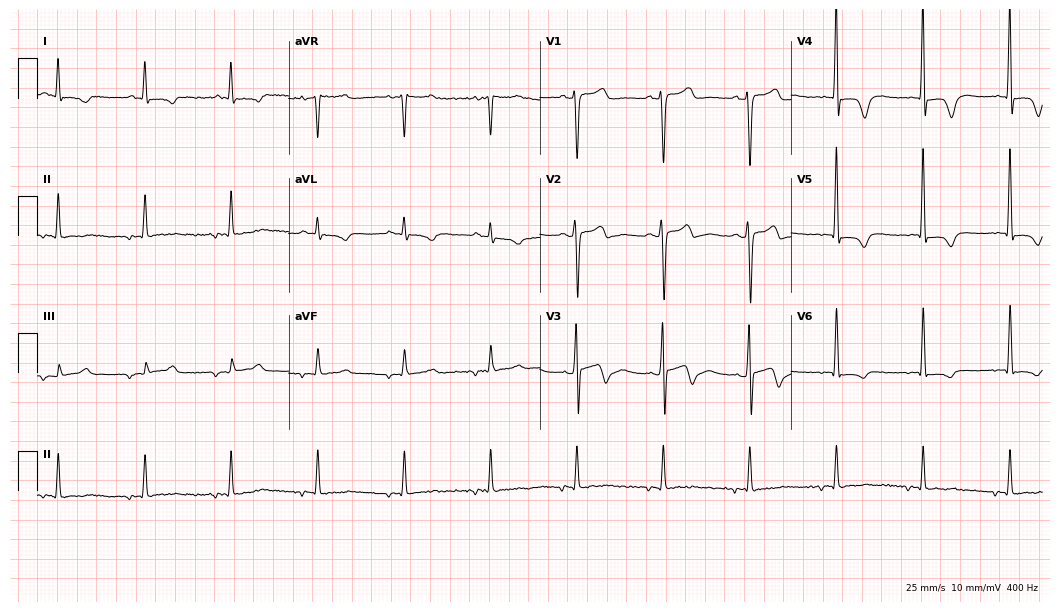
12-lead ECG from a 68-year-old male patient. No first-degree AV block, right bundle branch block (RBBB), left bundle branch block (LBBB), sinus bradycardia, atrial fibrillation (AF) or sinus tachycardia recorded for this tracing.